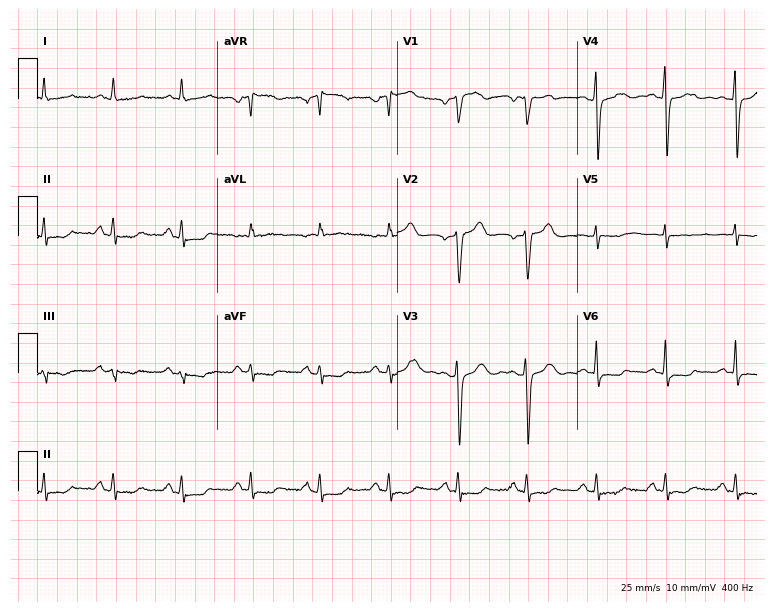
Standard 12-lead ECG recorded from a 48-year-old female patient. None of these six findings is recorded: first-degree AV block, right bundle branch block, left bundle branch block, sinus bradycardia, atrial fibrillation, sinus tachycardia.